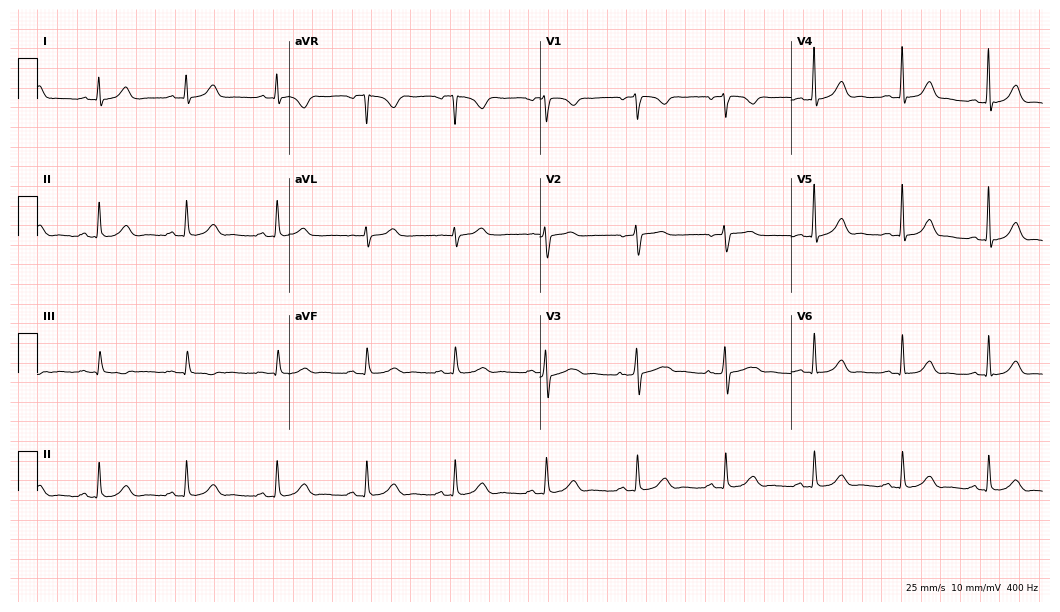
Electrocardiogram (10.2-second recording at 400 Hz), a 37-year-old woman. Overall reading on record: normal ECG.